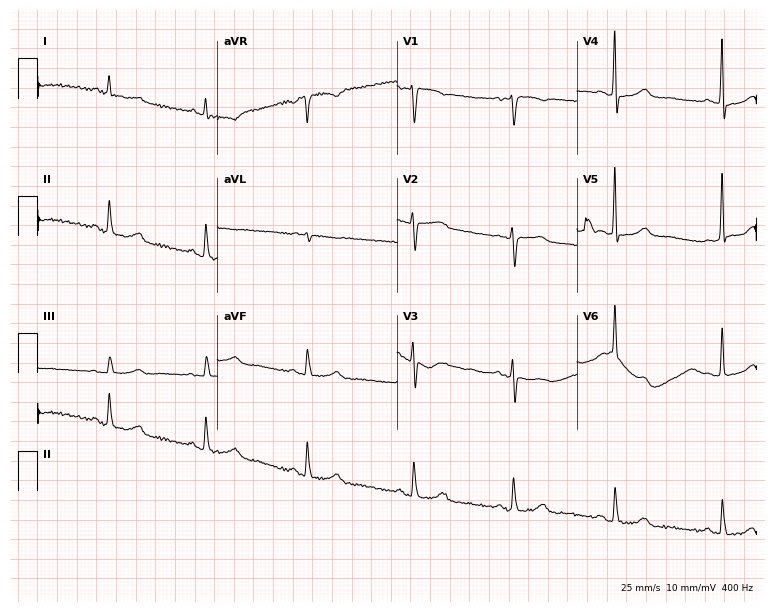
12-lead ECG (7.3-second recording at 400 Hz) from a woman, 65 years old. Screened for six findings — first-degree AV block, right bundle branch block, left bundle branch block, sinus bradycardia, atrial fibrillation, sinus tachycardia — none is recorded. Other findings, if any, are not listed.